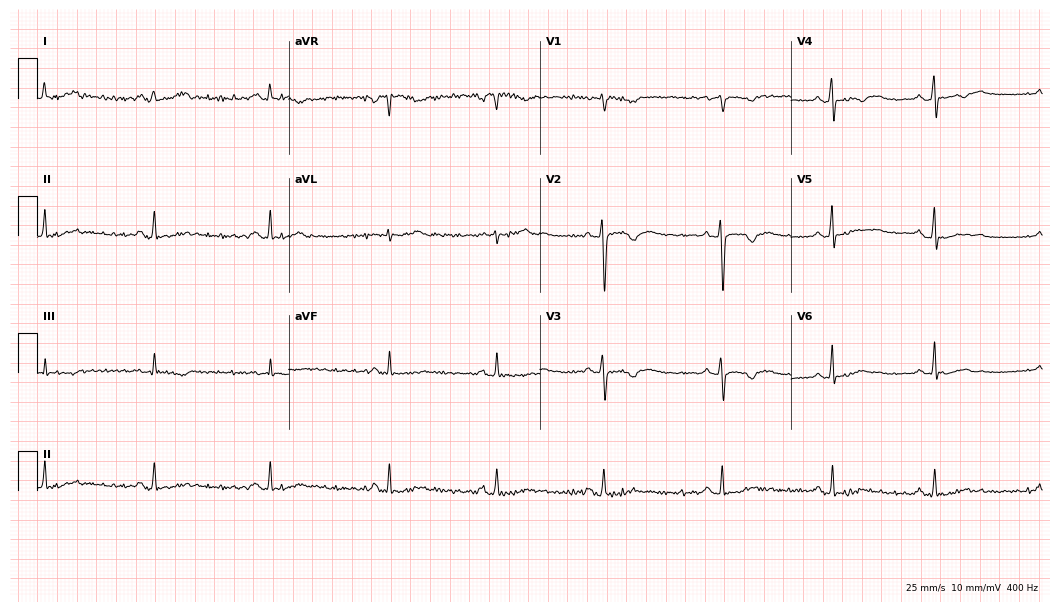
Electrocardiogram, a 27-year-old female. Overall reading on record: normal ECG.